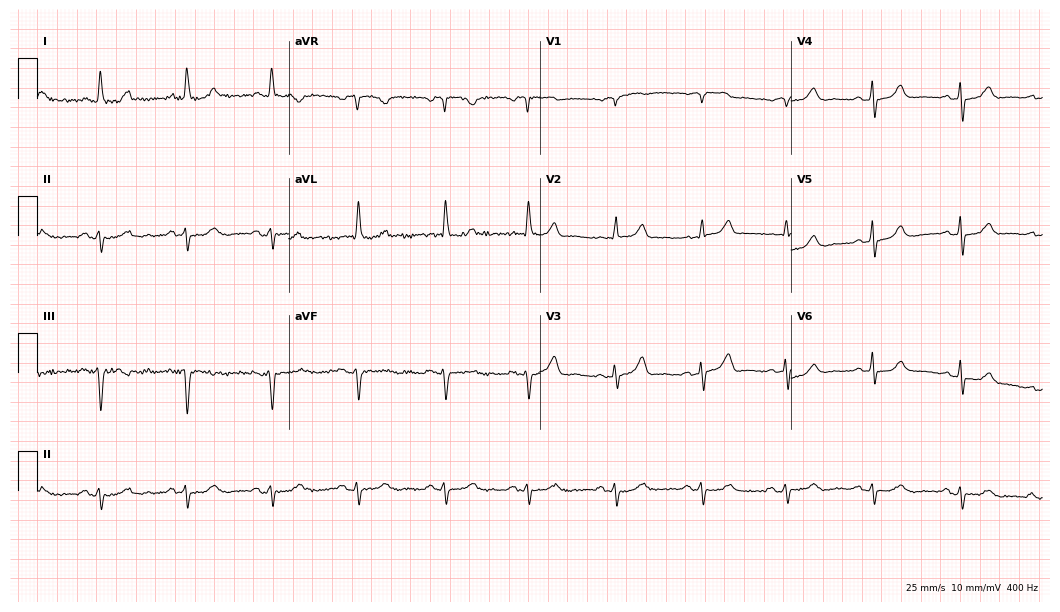
ECG (10.2-second recording at 400 Hz) — an 80-year-old male patient. Screened for six findings — first-degree AV block, right bundle branch block, left bundle branch block, sinus bradycardia, atrial fibrillation, sinus tachycardia — none is recorded.